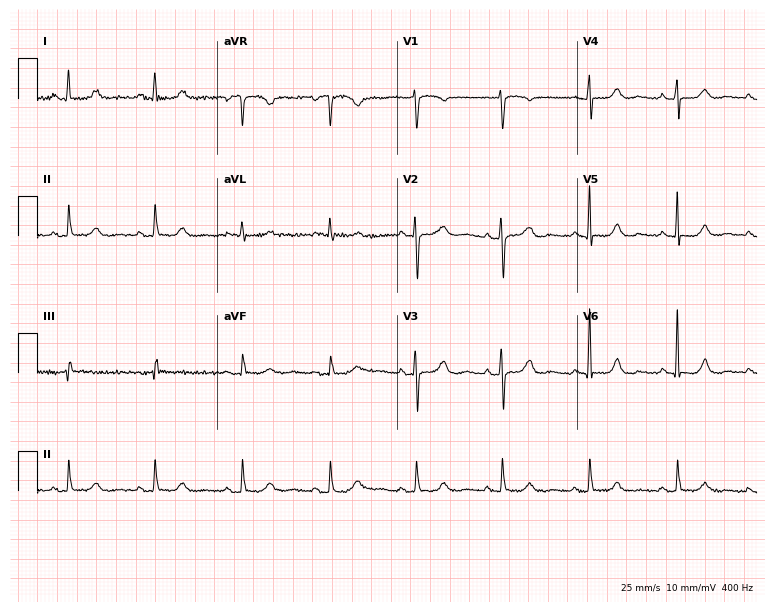
Electrocardiogram (7.3-second recording at 400 Hz), a female, 57 years old. Overall reading on record: normal ECG.